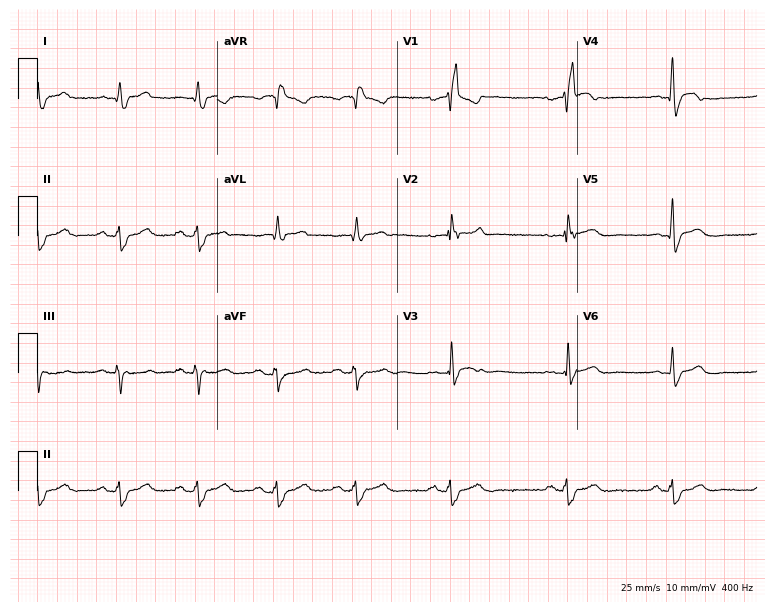
Resting 12-lead electrocardiogram (7.3-second recording at 400 Hz). Patient: a 54-year-old male. The tracing shows right bundle branch block.